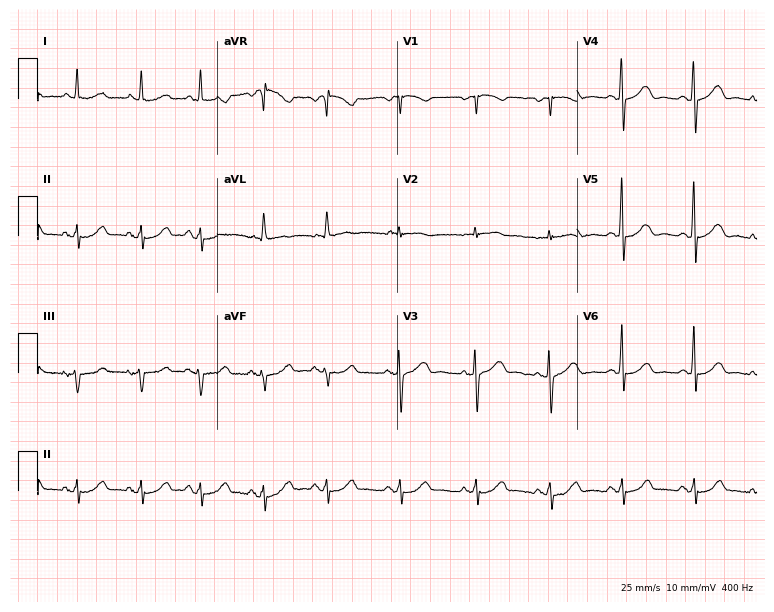
ECG — an 80-year-old woman. Screened for six findings — first-degree AV block, right bundle branch block (RBBB), left bundle branch block (LBBB), sinus bradycardia, atrial fibrillation (AF), sinus tachycardia — none is recorded. Only these six findings were labelled.